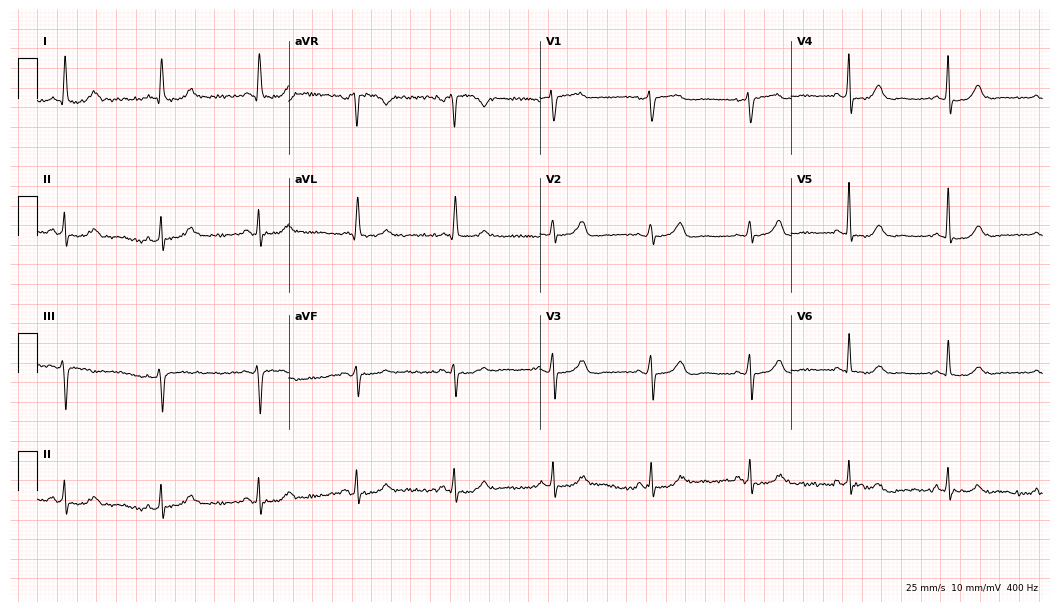
Resting 12-lead electrocardiogram (10.2-second recording at 400 Hz). Patient: a 73-year-old female. None of these six findings is recorded: first-degree AV block, right bundle branch block, left bundle branch block, sinus bradycardia, atrial fibrillation, sinus tachycardia. Other findings, if any, are not listed.